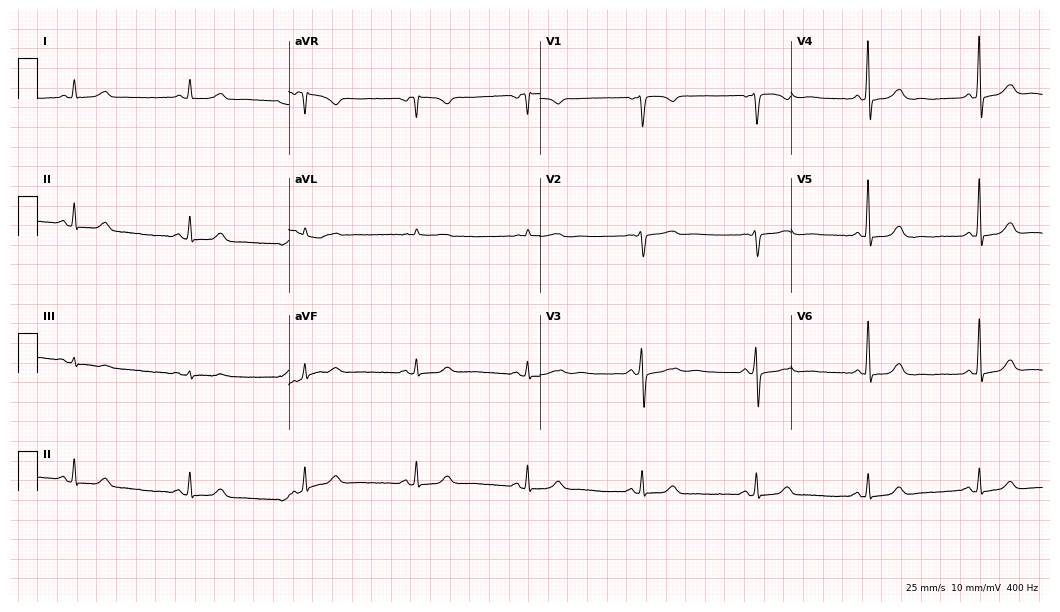
Standard 12-lead ECG recorded from a female, 69 years old (10.2-second recording at 400 Hz). Read as a normal ECG.